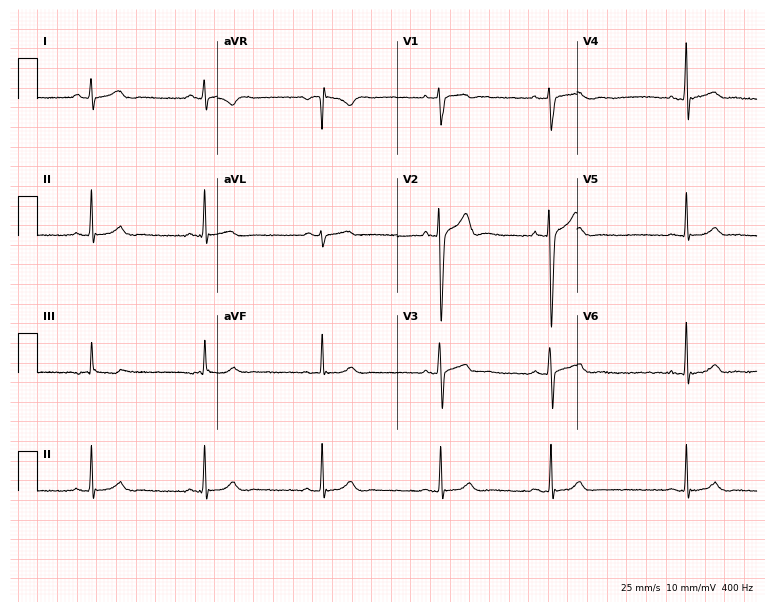
12-lead ECG from a male patient, 27 years old. Labelled as a normal ECG.